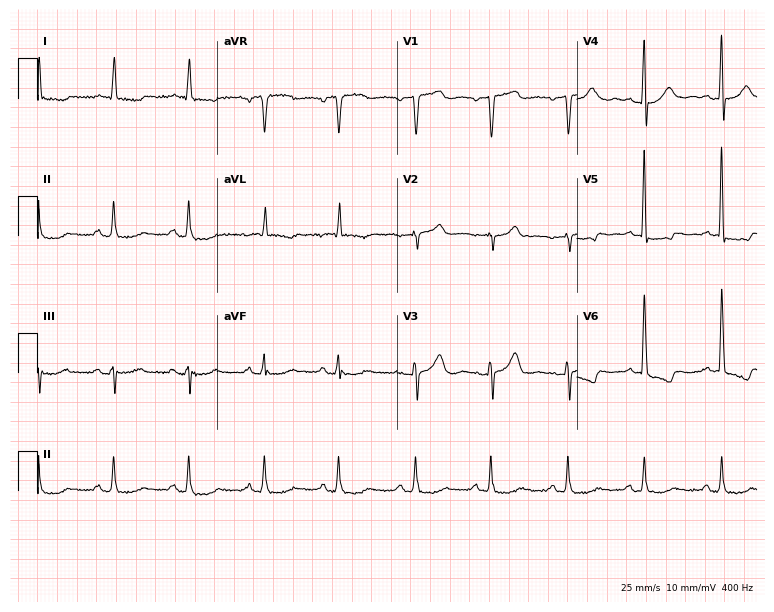
12-lead ECG (7.3-second recording at 400 Hz) from a 75-year-old female. Screened for six findings — first-degree AV block, right bundle branch block, left bundle branch block, sinus bradycardia, atrial fibrillation, sinus tachycardia — none is recorded. Findings outside these six are not listed.